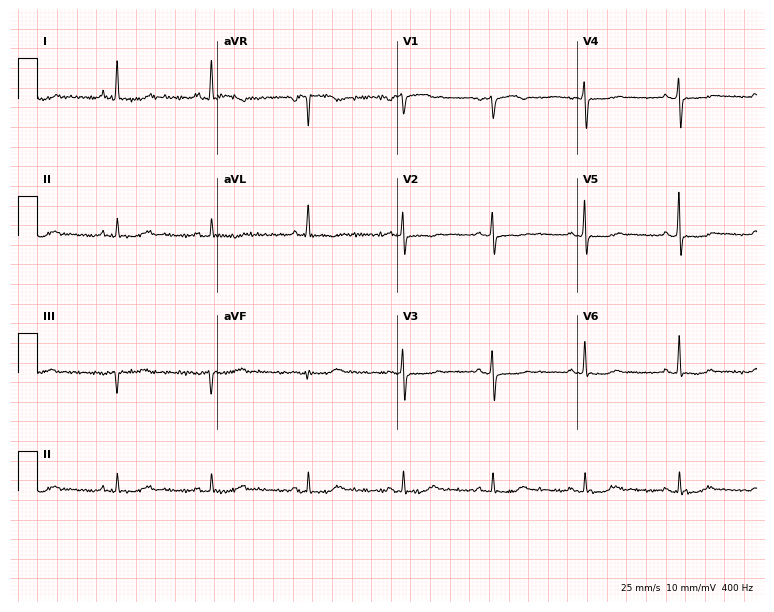
12-lead ECG from a woman, 73 years old. No first-degree AV block, right bundle branch block, left bundle branch block, sinus bradycardia, atrial fibrillation or sinus tachycardia recorded for this tracing.